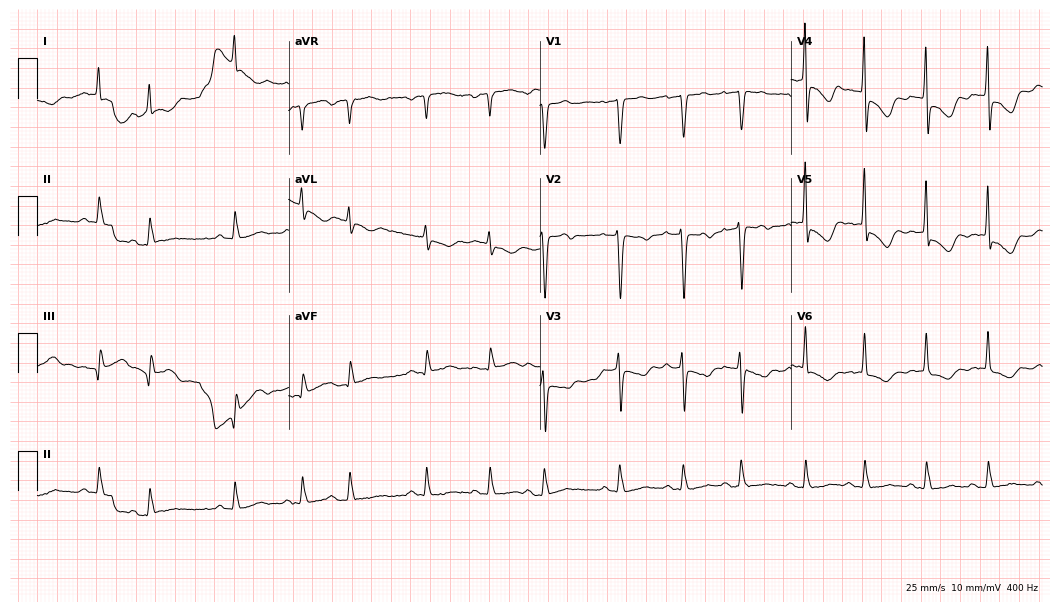
12-lead ECG from a male patient, 53 years old. No first-degree AV block, right bundle branch block, left bundle branch block, sinus bradycardia, atrial fibrillation or sinus tachycardia recorded for this tracing. Other findings, if any, are not listed.